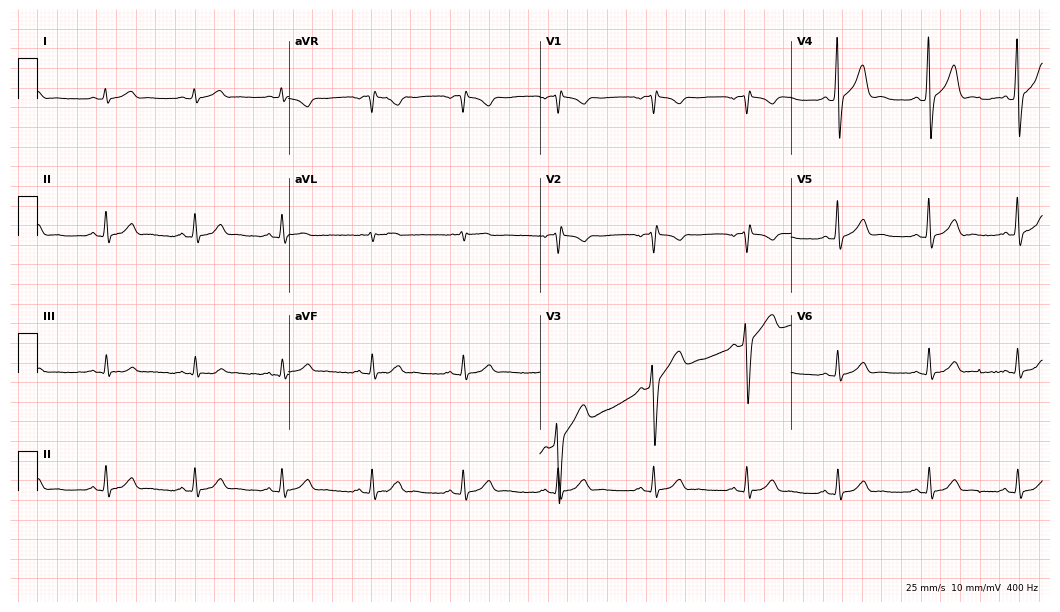
Resting 12-lead electrocardiogram. Patient: a 38-year-old male. None of these six findings is recorded: first-degree AV block, right bundle branch block, left bundle branch block, sinus bradycardia, atrial fibrillation, sinus tachycardia.